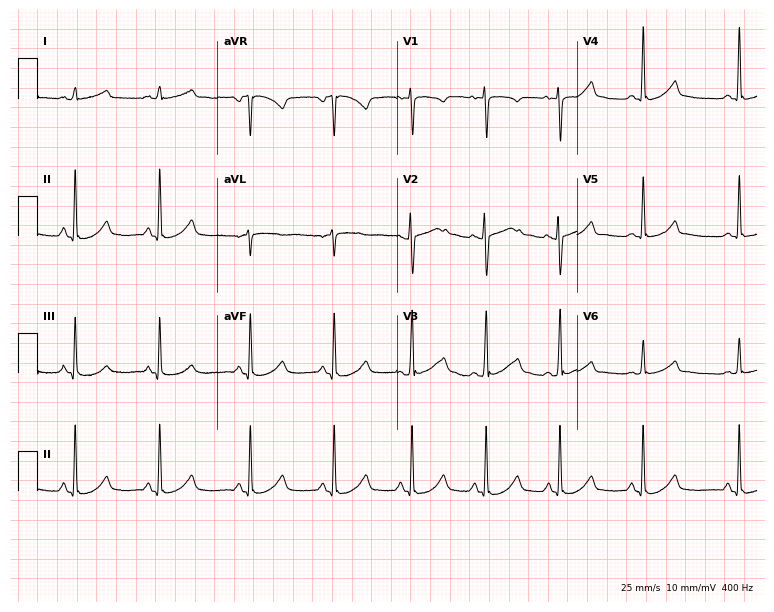
12-lead ECG from a female patient, 19 years old (7.3-second recording at 400 Hz). Recorded interpretation: within normal limits.